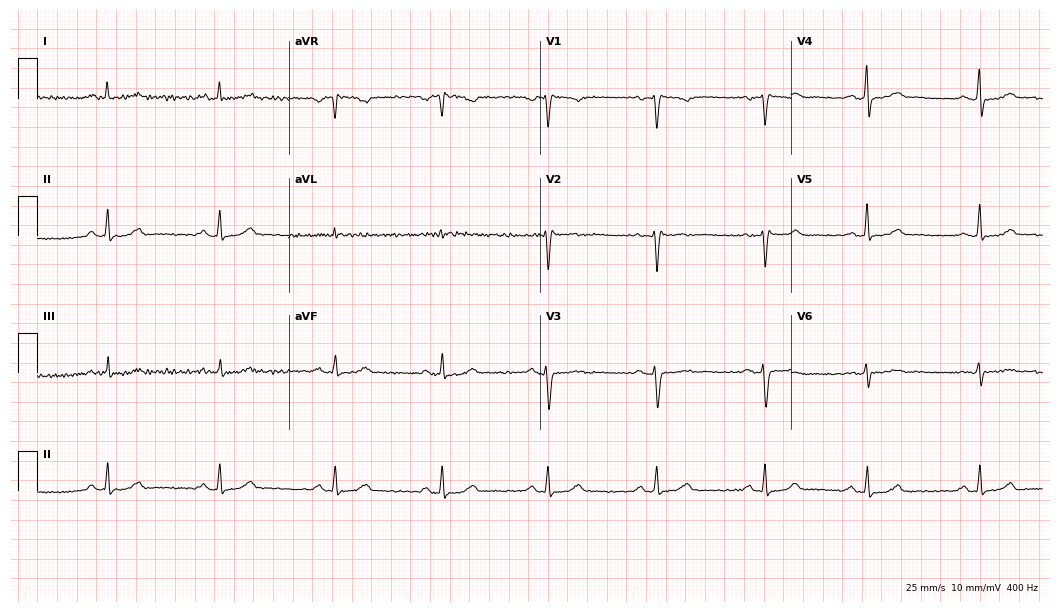
12-lead ECG (10.2-second recording at 400 Hz) from a 50-year-old female patient. Labelled as a normal ECG.